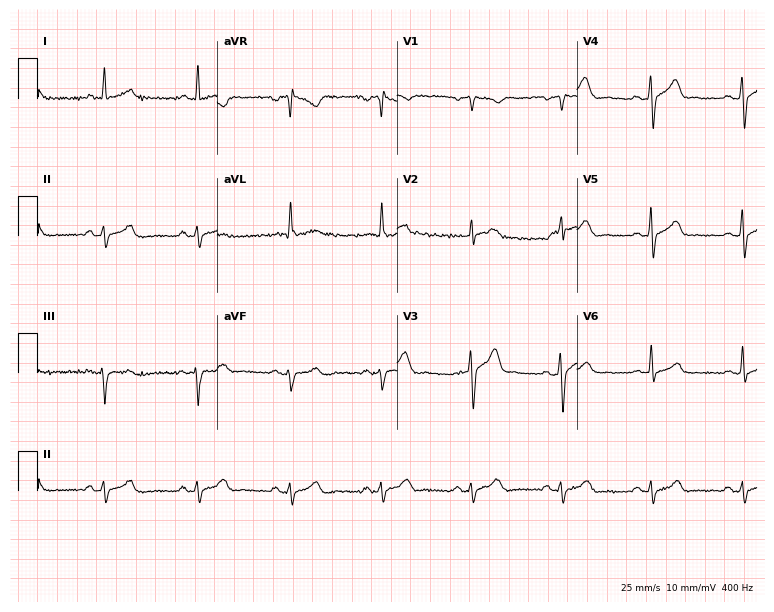
Standard 12-lead ECG recorded from a 62-year-old man (7.3-second recording at 400 Hz). None of these six findings is recorded: first-degree AV block, right bundle branch block, left bundle branch block, sinus bradycardia, atrial fibrillation, sinus tachycardia. Other findings, if any, are not listed.